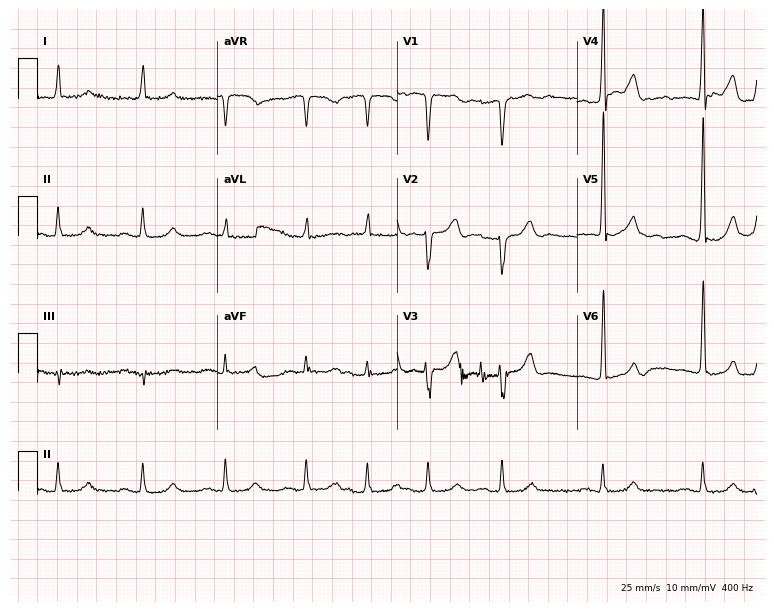
12-lead ECG from a man, 76 years old. Screened for six findings — first-degree AV block, right bundle branch block (RBBB), left bundle branch block (LBBB), sinus bradycardia, atrial fibrillation (AF), sinus tachycardia — none is recorded. Other findings, if any, are not listed.